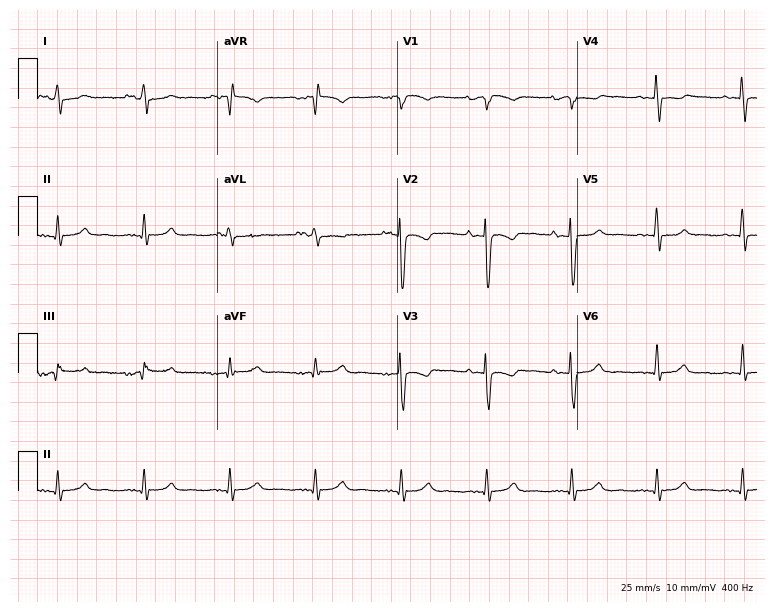
Resting 12-lead electrocardiogram (7.3-second recording at 400 Hz). Patient: a 25-year-old female. Read as a normal ECG.